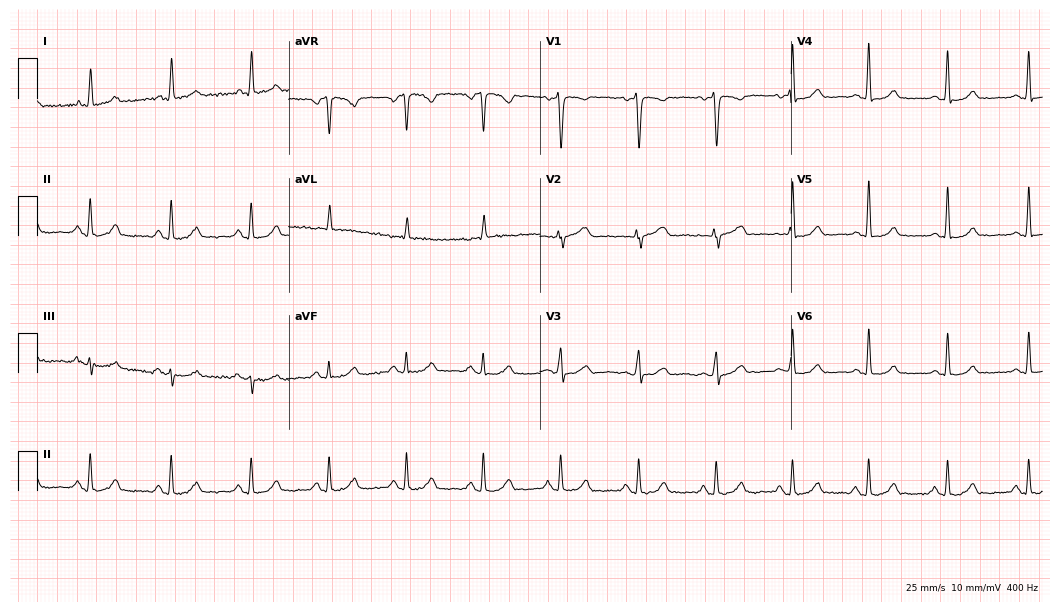
Electrocardiogram, a 46-year-old female. Overall reading on record: normal ECG.